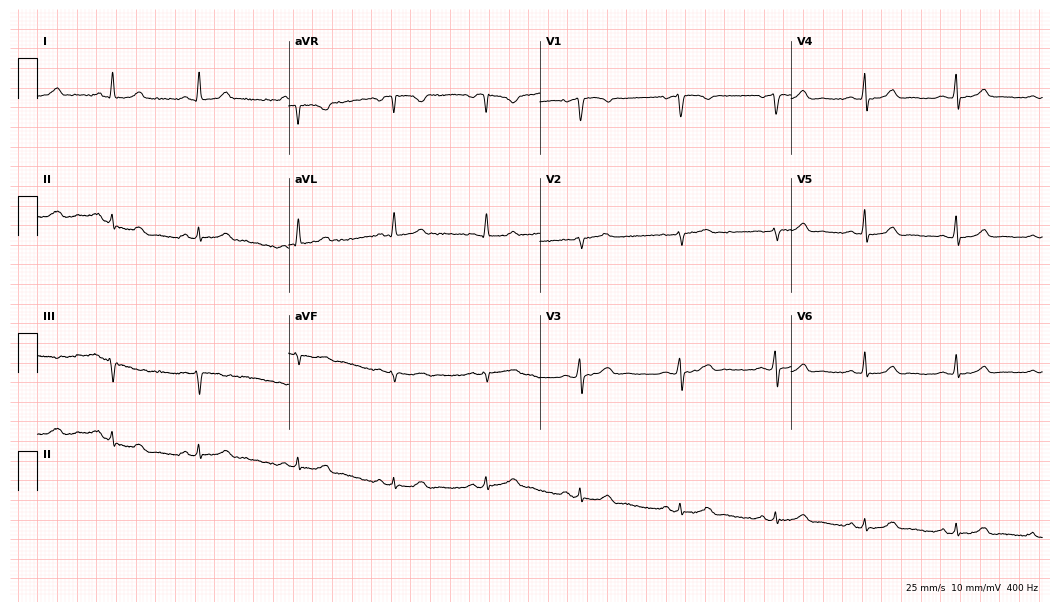
12-lead ECG (10.2-second recording at 400 Hz) from a female, 34 years old. Labelled as a normal ECG.